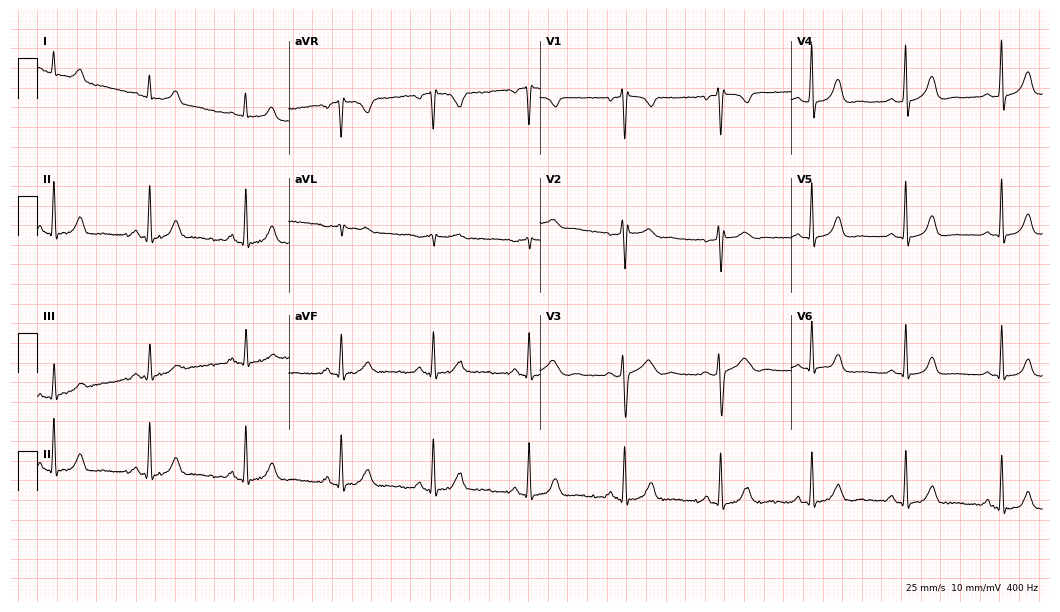
Resting 12-lead electrocardiogram. Patient: a 30-year-old female. Read as a normal ECG.